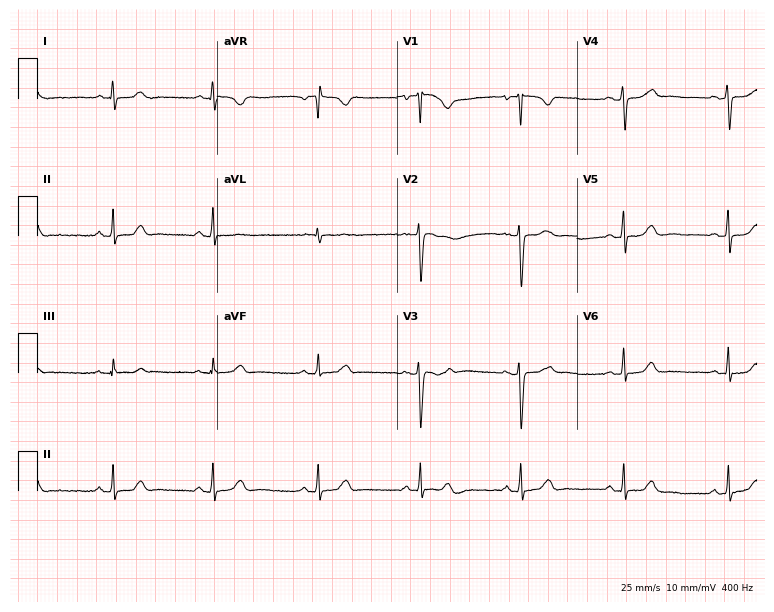
ECG — a 21-year-old female patient. Labelled as a normal ECG.